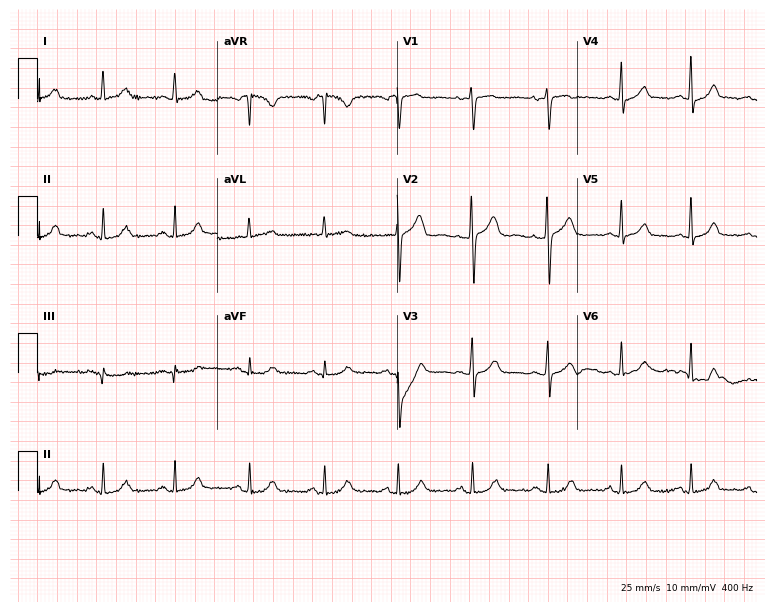
12-lead ECG from a female, 45 years old (7.3-second recording at 400 Hz). Recorded interpretation: within normal limits.